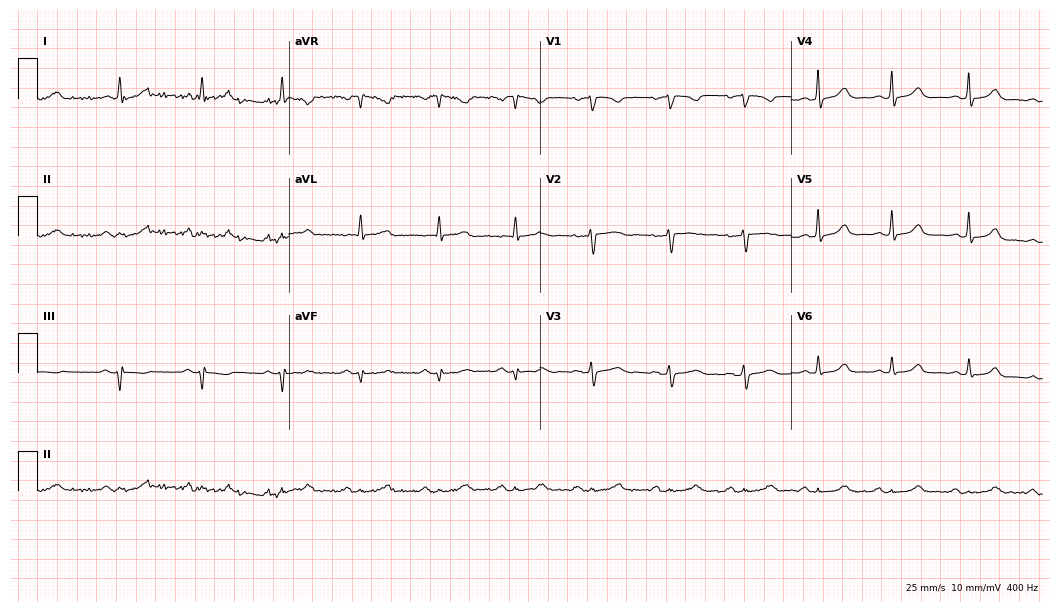
Resting 12-lead electrocardiogram (10.2-second recording at 400 Hz). Patient: a female, 53 years old. None of these six findings is recorded: first-degree AV block, right bundle branch block, left bundle branch block, sinus bradycardia, atrial fibrillation, sinus tachycardia. Other findings, if any, are not listed.